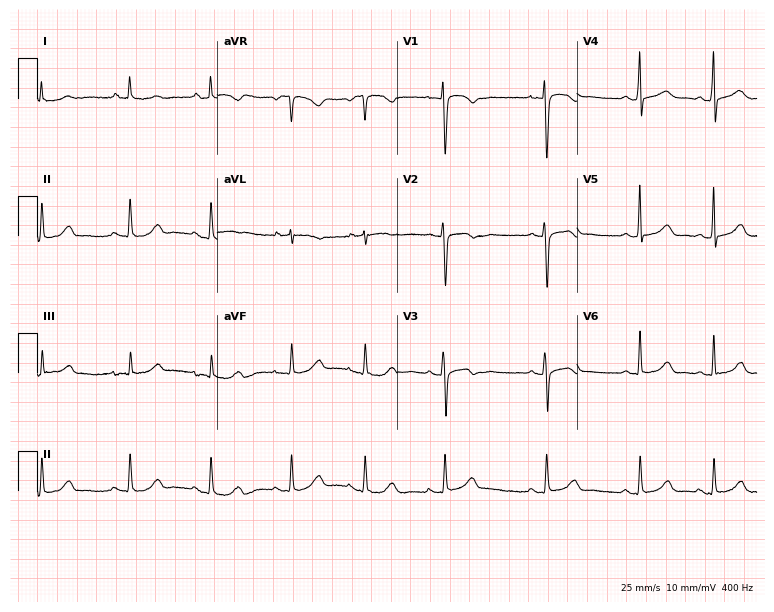
12-lead ECG from a woman, 19 years old. Recorded interpretation: within normal limits.